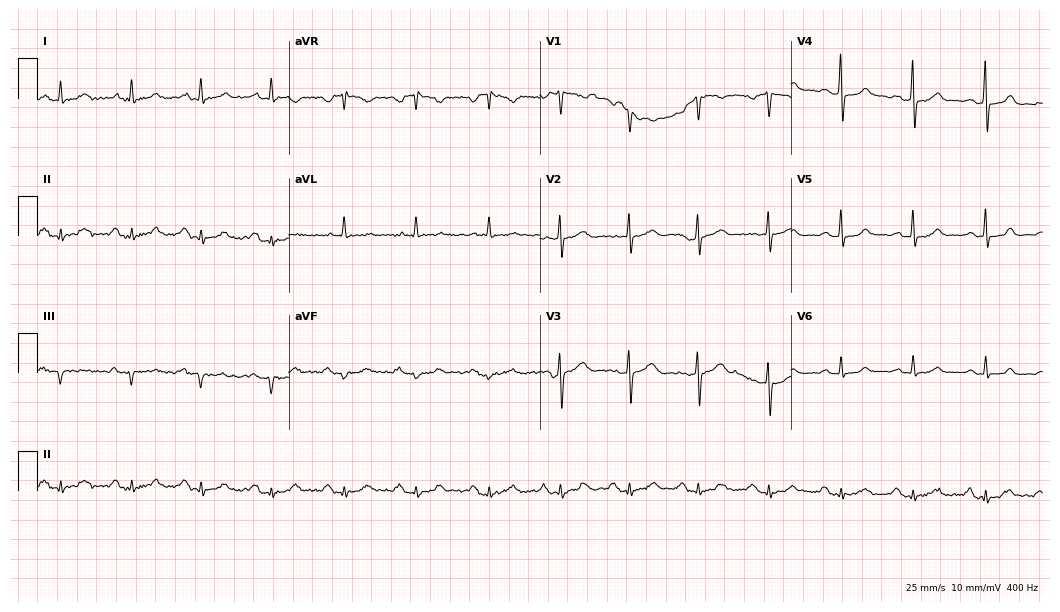
Standard 12-lead ECG recorded from a 52-year-old man. The tracing shows first-degree AV block.